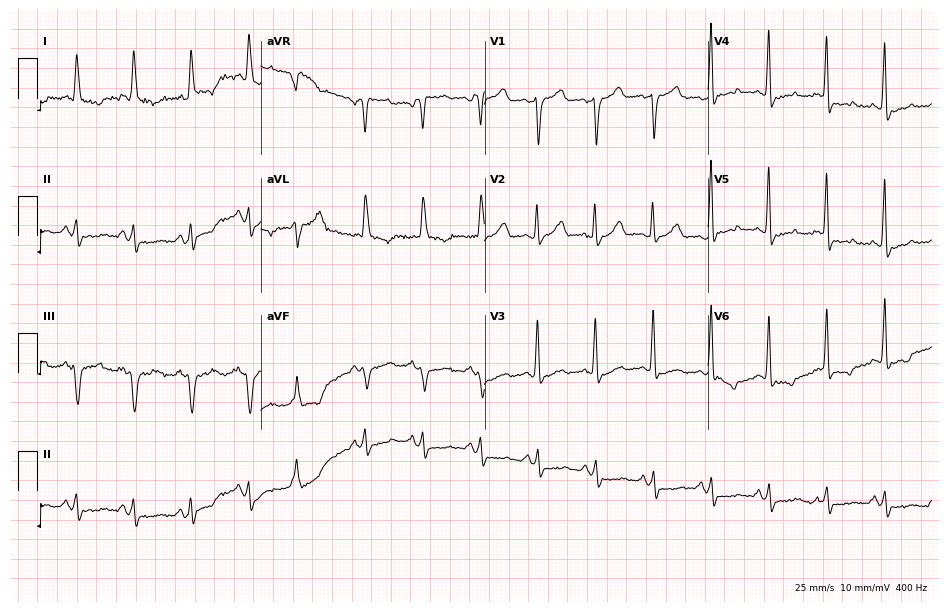
12-lead ECG from a male, 75 years old (9.1-second recording at 400 Hz). No first-degree AV block, right bundle branch block, left bundle branch block, sinus bradycardia, atrial fibrillation or sinus tachycardia recorded for this tracing. Other findings, if any, are not listed.